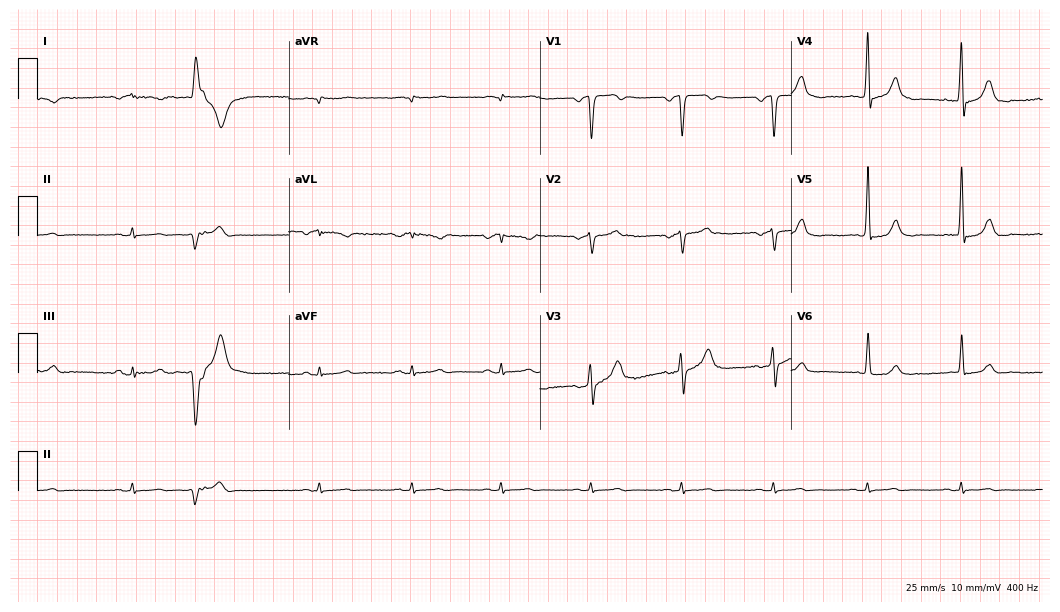
Standard 12-lead ECG recorded from a 76-year-old male patient. Read as a normal ECG.